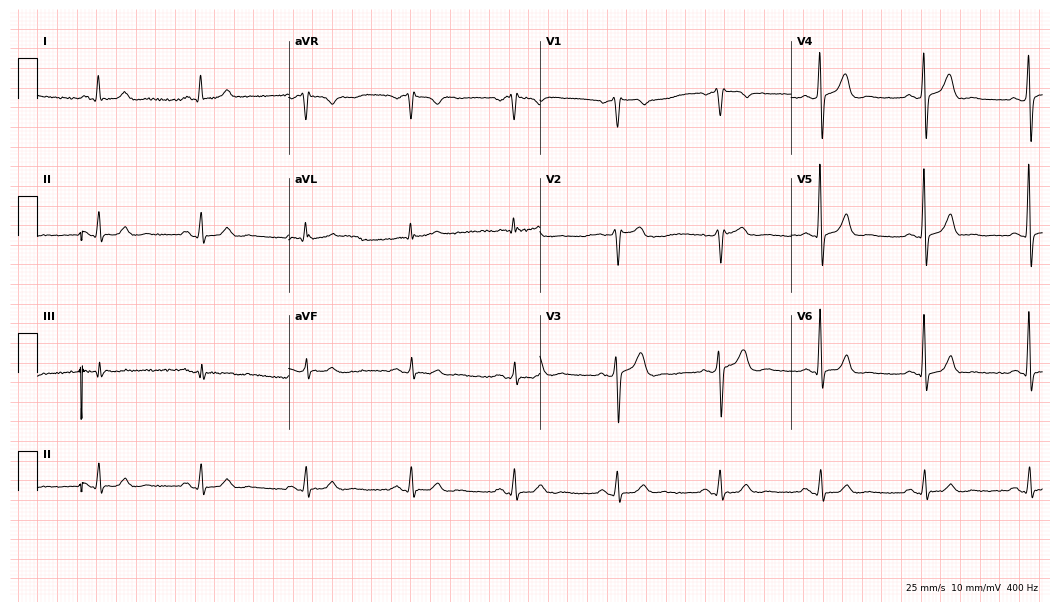
Standard 12-lead ECG recorded from a male, 61 years old (10.2-second recording at 400 Hz). None of these six findings is recorded: first-degree AV block, right bundle branch block, left bundle branch block, sinus bradycardia, atrial fibrillation, sinus tachycardia. Other findings, if any, are not listed.